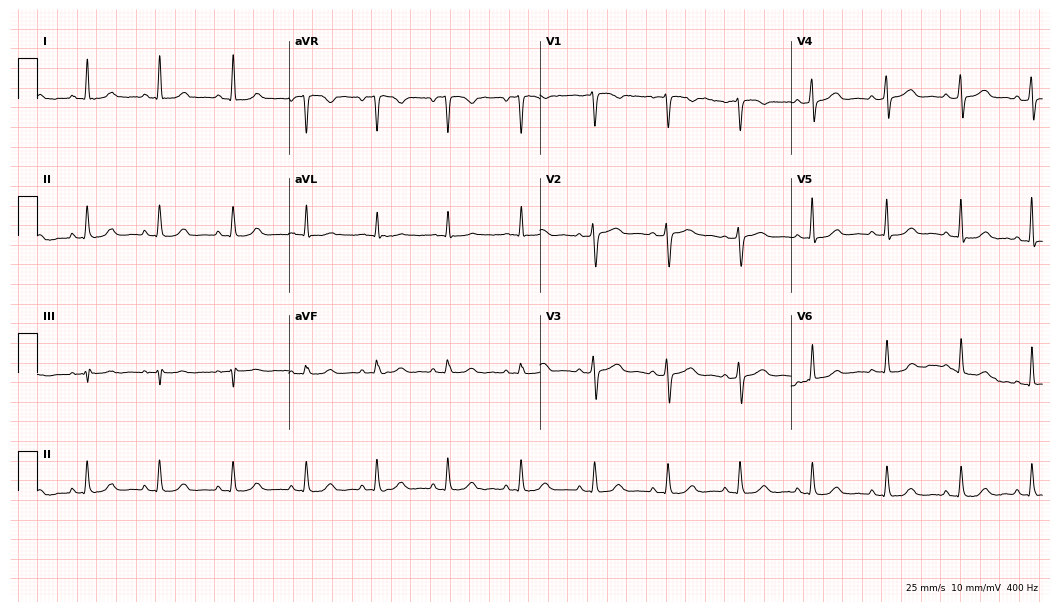
12-lead ECG from a female patient, 59 years old. Recorded interpretation: within normal limits.